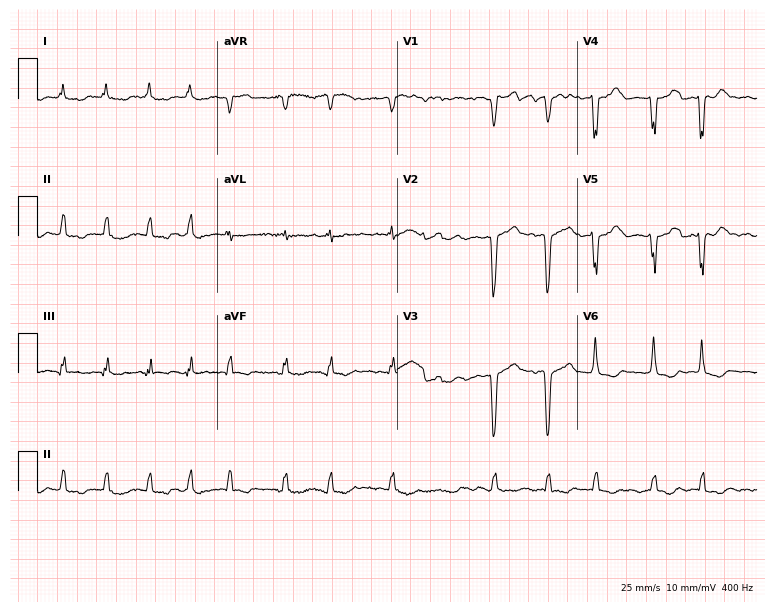
12-lead ECG from a man, 69 years old. Shows atrial fibrillation (AF).